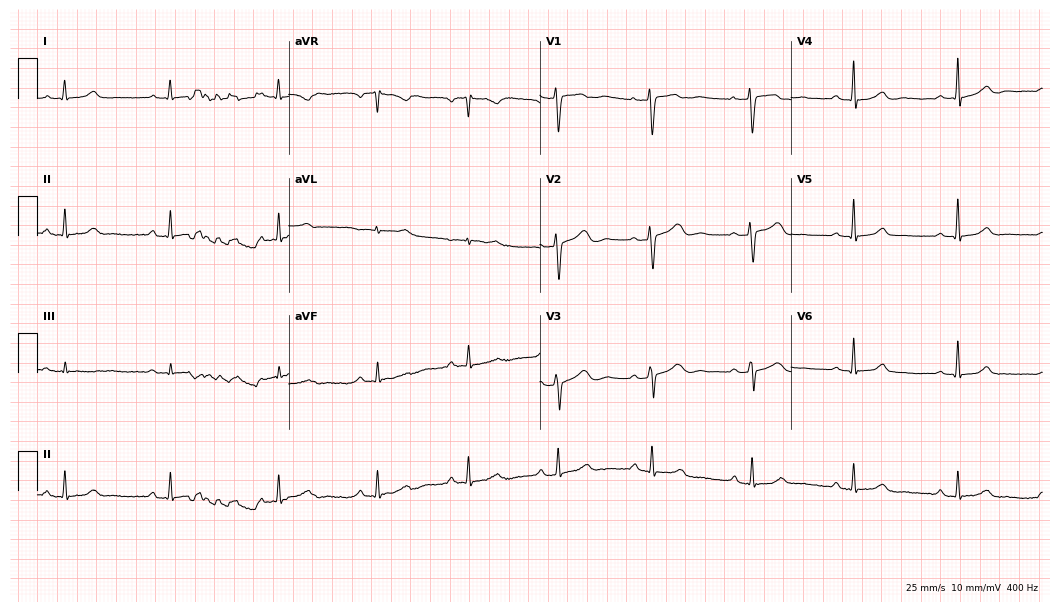
Resting 12-lead electrocardiogram (10.2-second recording at 400 Hz). Patient: a woman, 39 years old. None of these six findings is recorded: first-degree AV block, right bundle branch block (RBBB), left bundle branch block (LBBB), sinus bradycardia, atrial fibrillation (AF), sinus tachycardia.